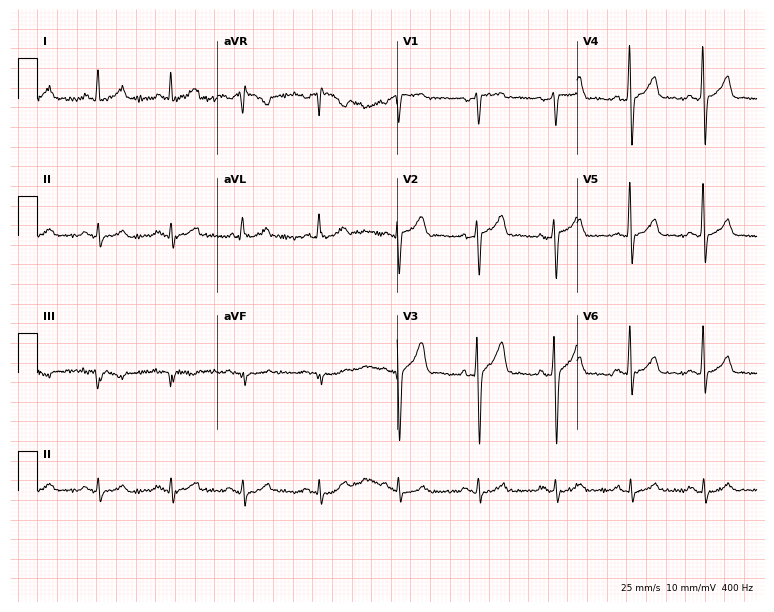
12-lead ECG (7.3-second recording at 400 Hz) from a 40-year-old male. Labelled as a normal ECG.